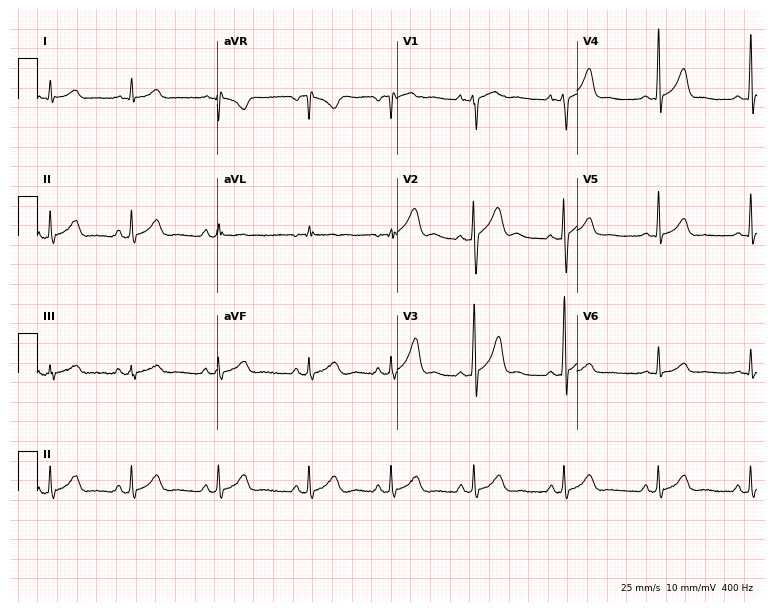
Electrocardiogram (7.3-second recording at 400 Hz), a 26-year-old man. Overall reading on record: normal ECG.